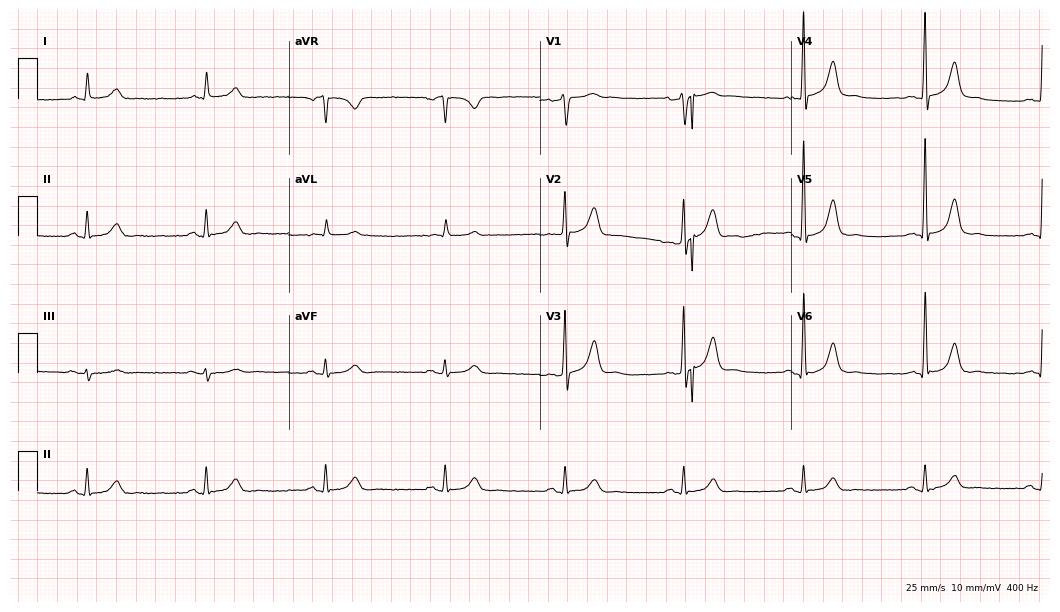
12-lead ECG (10.2-second recording at 400 Hz) from a 69-year-old female patient. Findings include sinus bradycardia (a sinus rate of 50 beats per minute or less).